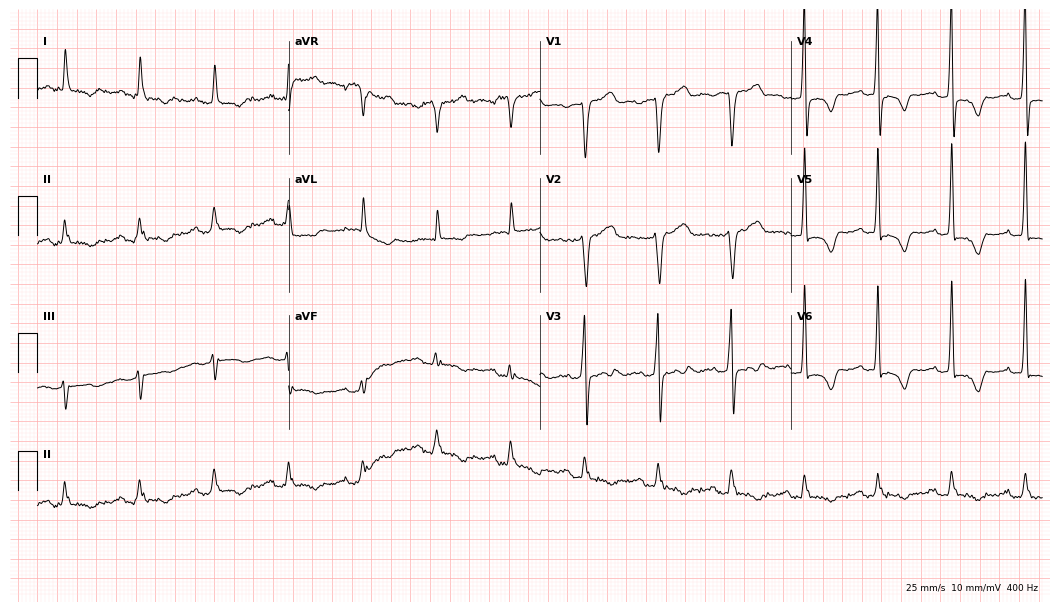
Standard 12-lead ECG recorded from a man, 84 years old (10.2-second recording at 400 Hz). None of these six findings is recorded: first-degree AV block, right bundle branch block (RBBB), left bundle branch block (LBBB), sinus bradycardia, atrial fibrillation (AF), sinus tachycardia.